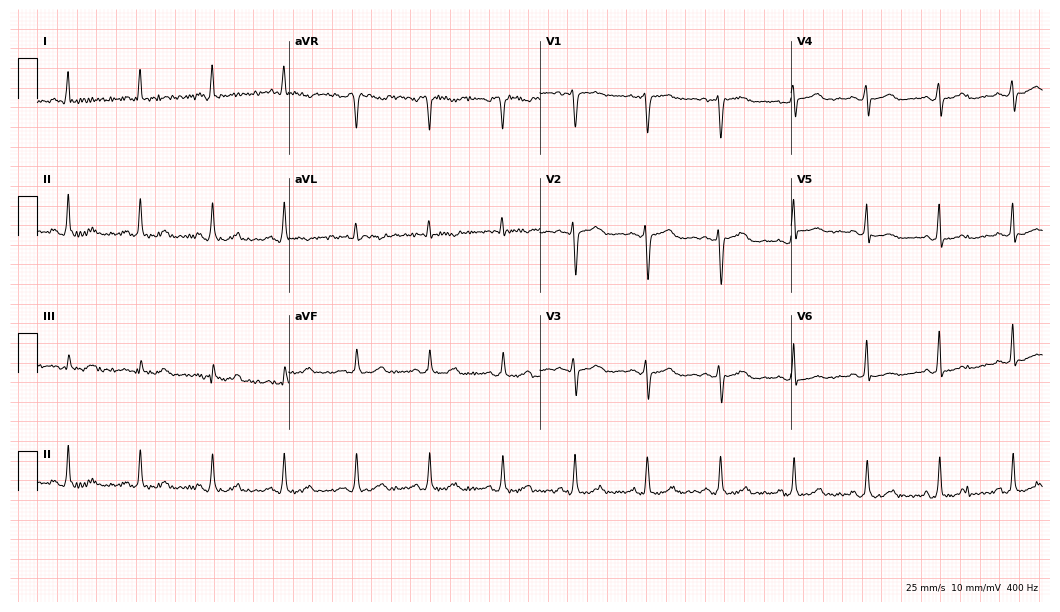
Standard 12-lead ECG recorded from a female, 53 years old. Read as a normal ECG.